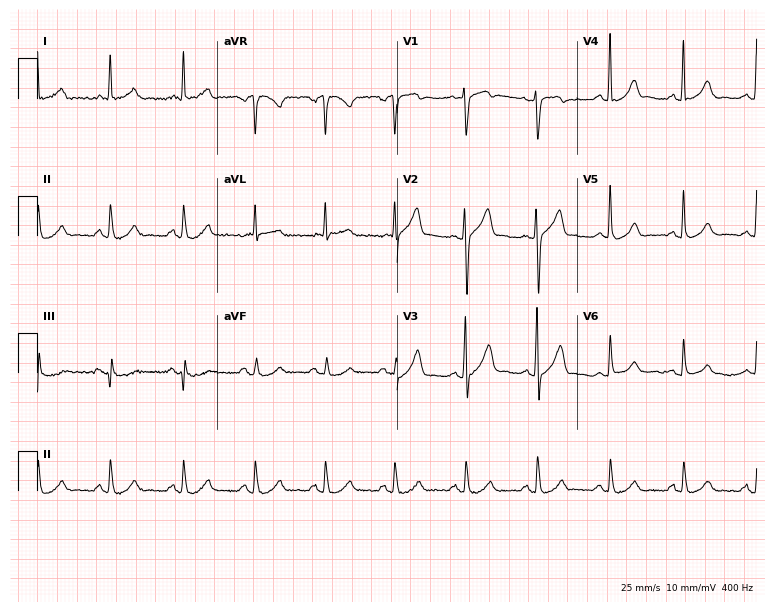
Electrocardiogram, a male, 64 years old. Of the six screened findings (first-degree AV block, right bundle branch block (RBBB), left bundle branch block (LBBB), sinus bradycardia, atrial fibrillation (AF), sinus tachycardia), none is recorded.